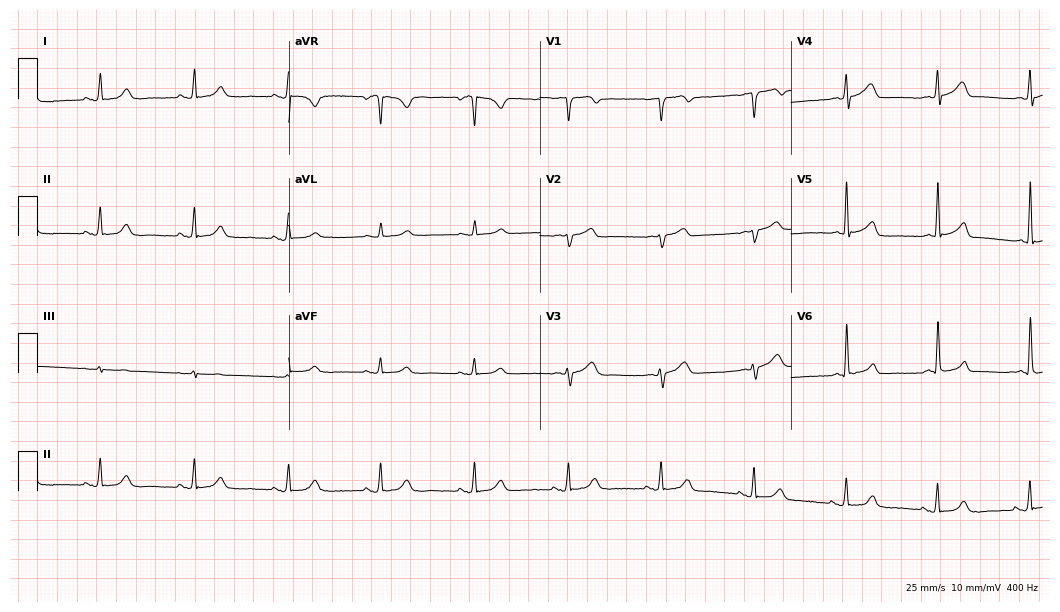
ECG (10.2-second recording at 400 Hz) — a male patient, 77 years old. Labelled as a normal ECG.